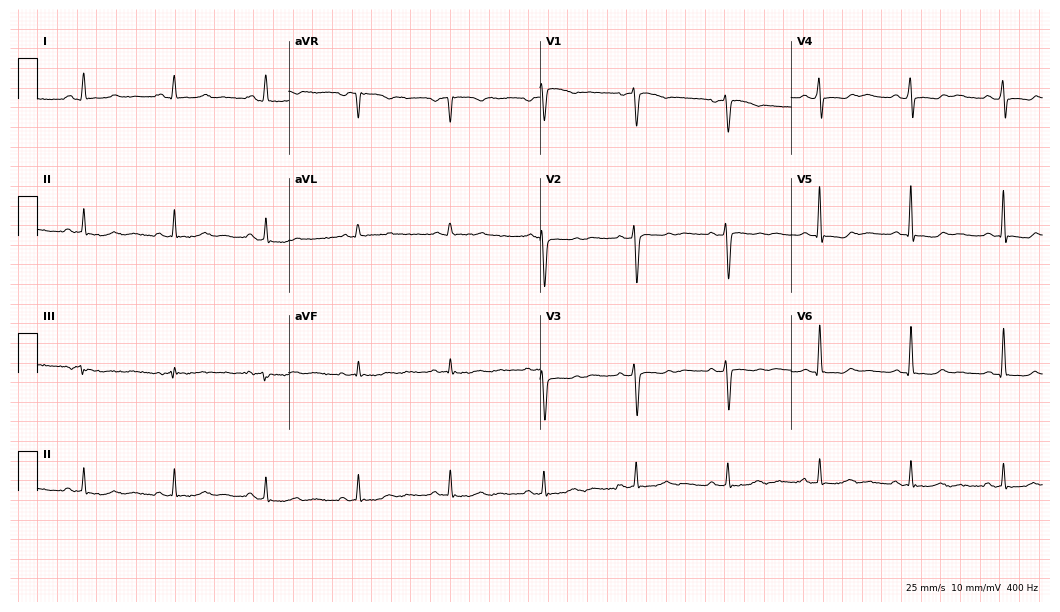
ECG — a 57-year-old female patient. Screened for six findings — first-degree AV block, right bundle branch block, left bundle branch block, sinus bradycardia, atrial fibrillation, sinus tachycardia — none is recorded.